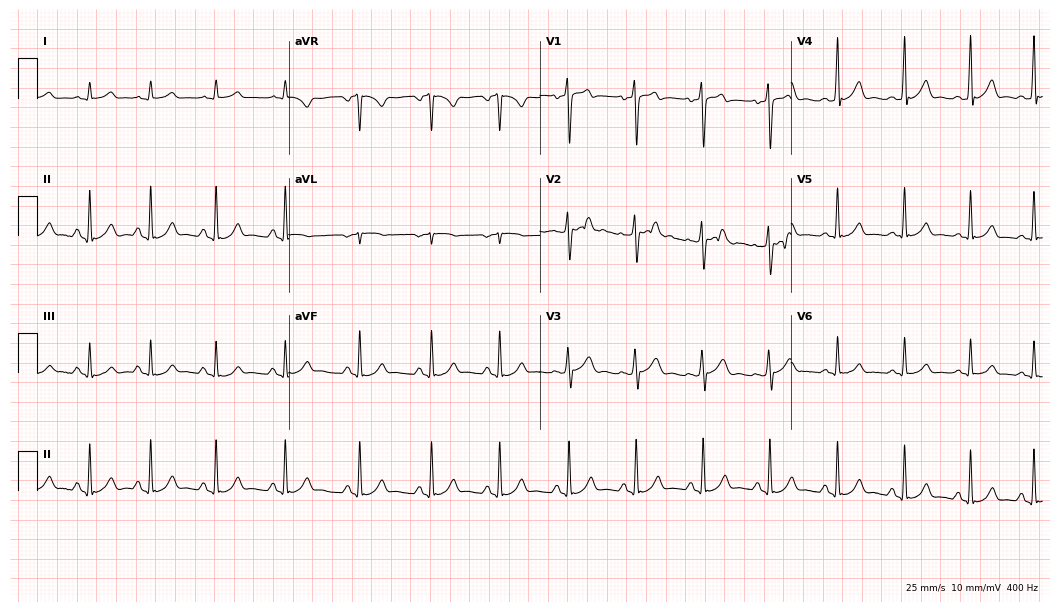
ECG — a man, 19 years old. Labelled as a normal ECG.